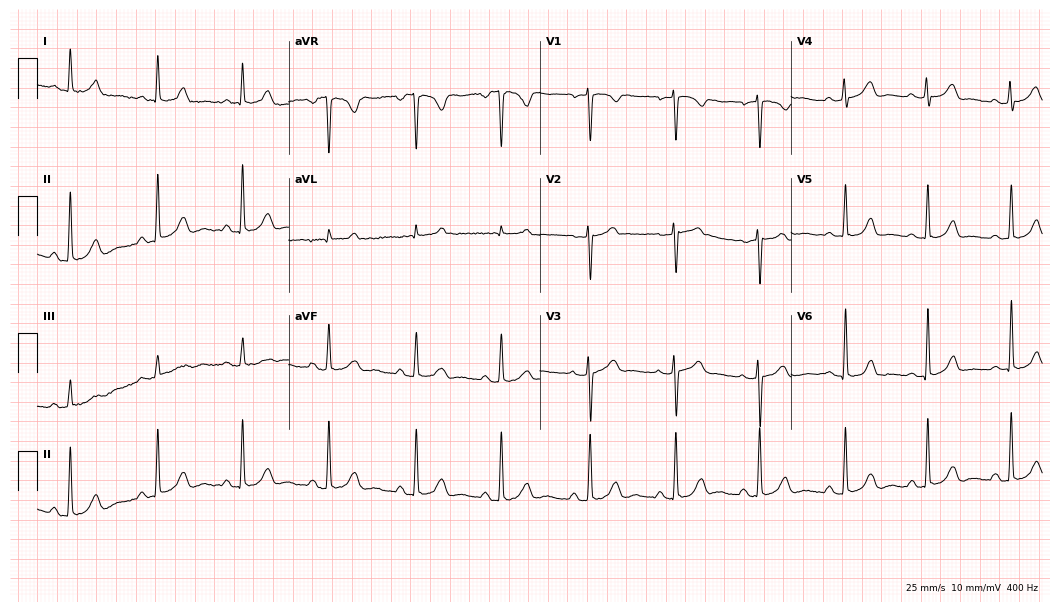
12-lead ECG from a female, 62 years old (10.2-second recording at 400 Hz). Recorded interpretation: within normal limits.